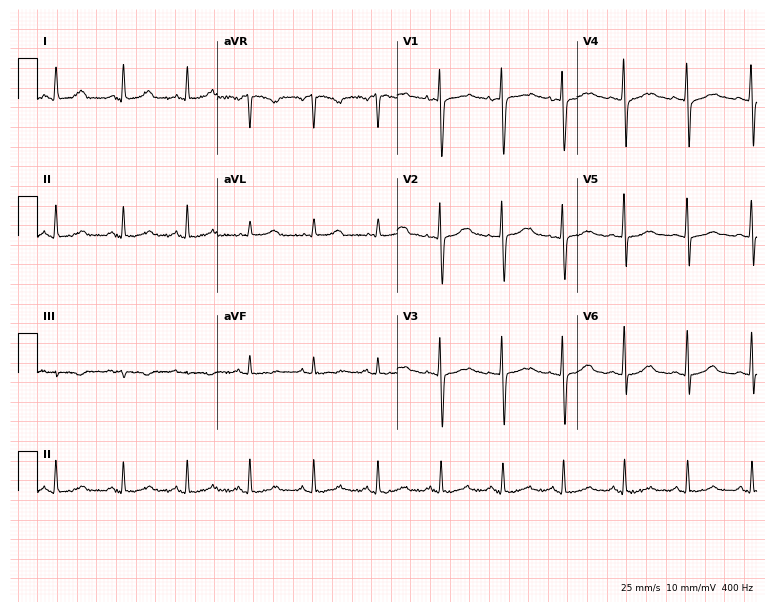
Electrocardiogram (7.3-second recording at 400 Hz), a 29-year-old female. Of the six screened findings (first-degree AV block, right bundle branch block (RBBB), left bundle branch block (LBBB), sinus bradycardia, atrial fibrillation (AF), sinus tachycardia), none is recorded.